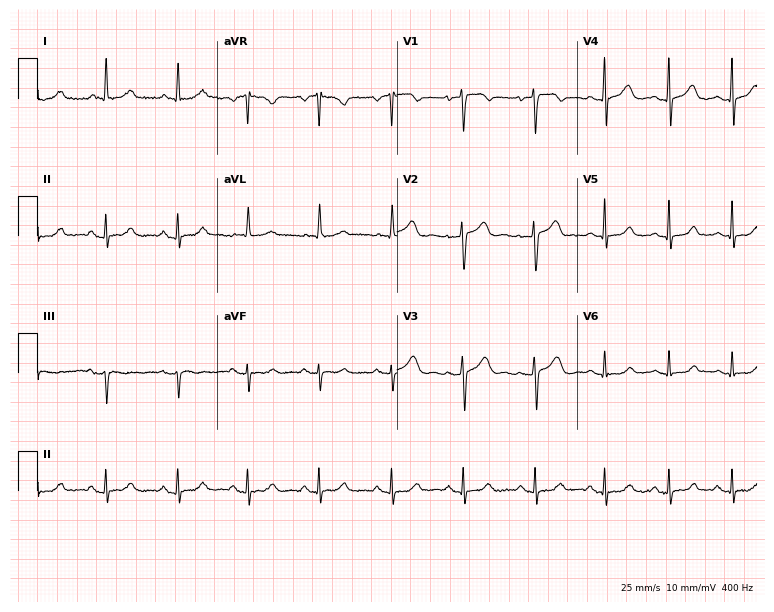
12-lead ECG from a woman, 50 years old. Screened for six findings — first-degree AV block, right bundle branch block, left bundle branch block, sinus bradycardia, atrial fibrillation, sinus tachycardia — none is recorded. Findings outside these six are not listed.